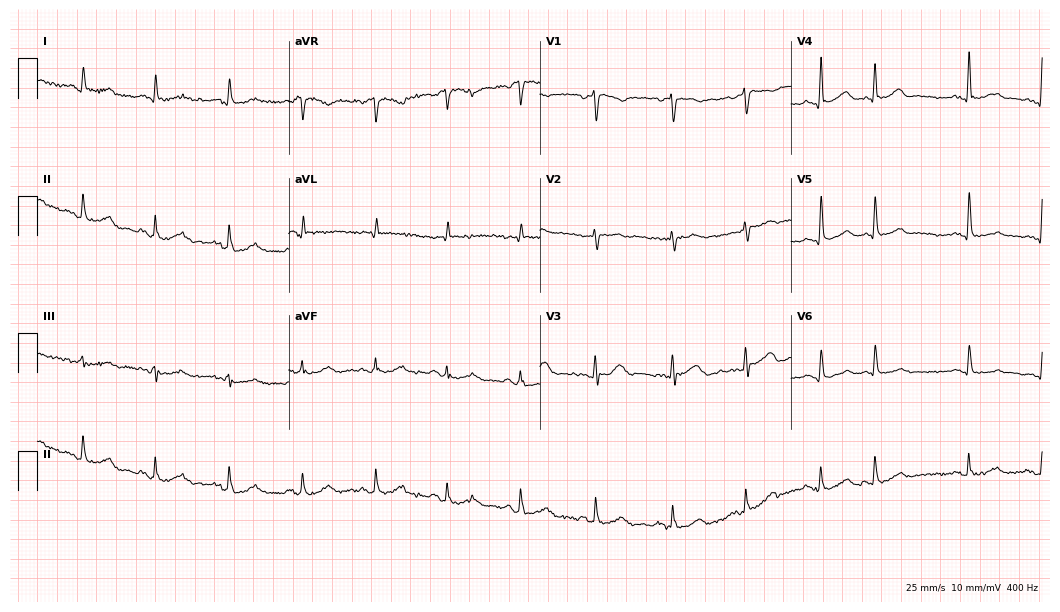
Electrocardiogram (10.2-second recording at 400 Hz), an 80-year-old male. Of the six screened findings (first-degree AV block, right bundle branch block (RBBB), left bundle branch block (LBBB), sinus bradycardia, atrial fibrillation (AF), sinus tachycardia), none is recorded. Findings outside these six are not listed.